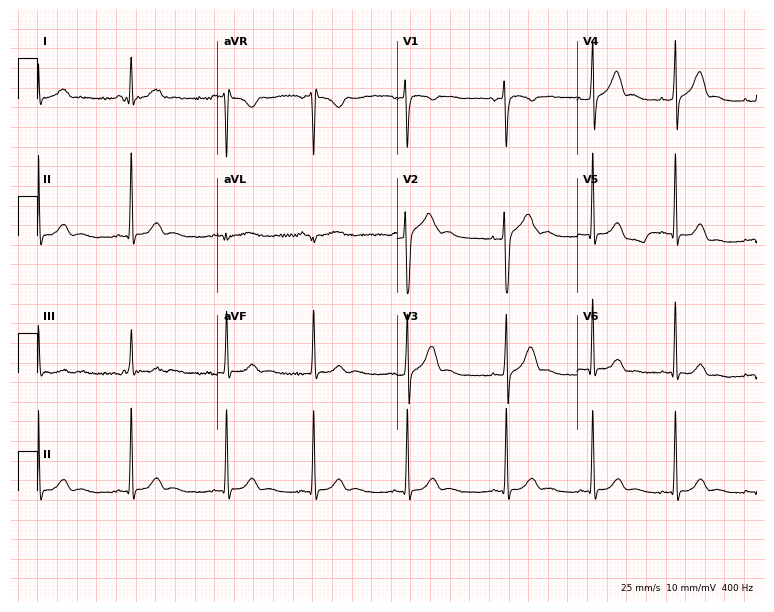
12-lead ECG from a 20-year-old female. Labelled as a normal ECG.